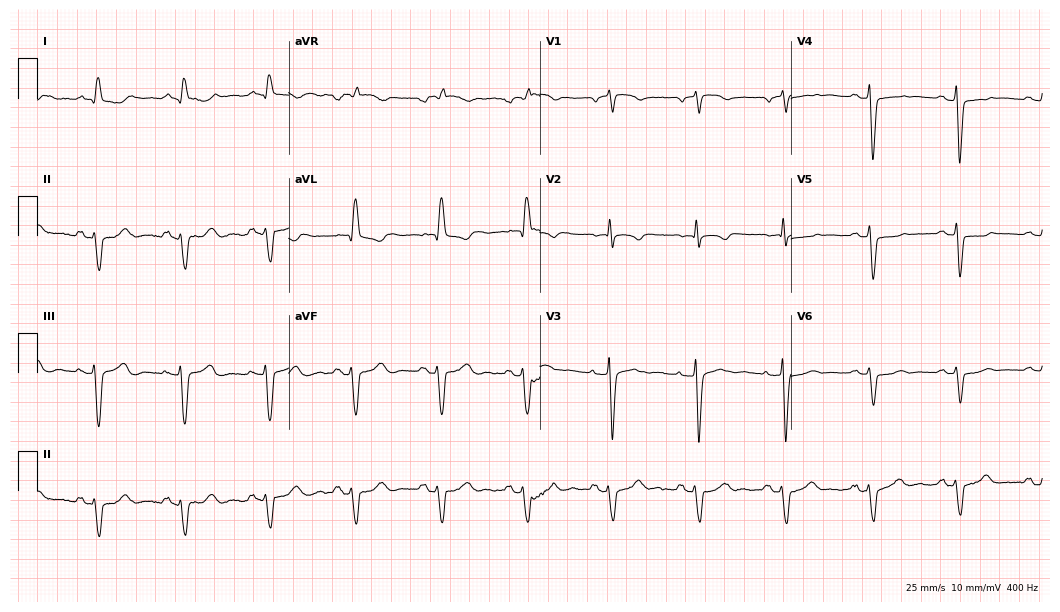
12-lead ECG from an 81-year-old female. No first-degree AV block, right bundle branch block, left bundle branch block, sinus bradycardia, atrial fibrillation or sinus tachycardia recorded for this tracing. Findings outside these six are not listed.